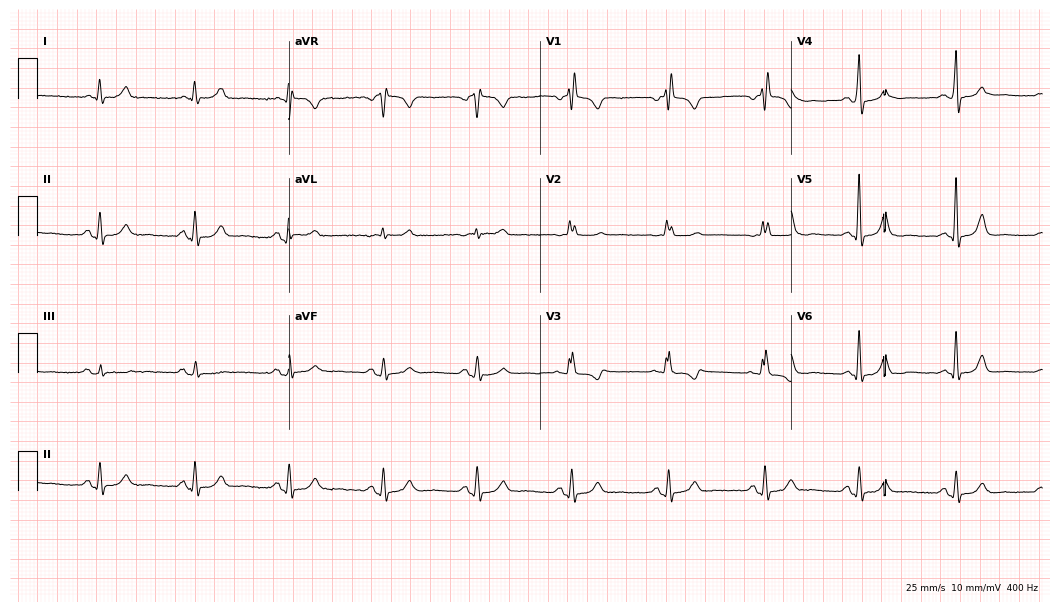
ECG (10.2-second recording at 400 Hz) — a woman, 74 years old. Screened for six findings — first-degree AV block, right bundle branch block, left bundle branch block, sinus bradycardia, atrial fibrillation, sinus tachycardia — none is recorded.